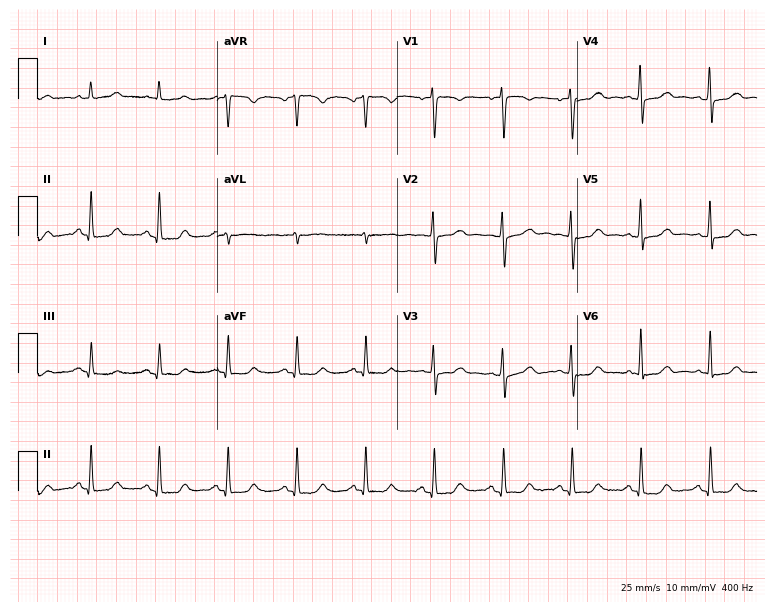
12-lead ECG from a 59-year-old female patient. Screened for six findings — first-degree AV block, right bundle branch block (RBBB), left bundle branch block (LBBB), sinus bradycardia, atrial fibrillation (AF), sinus tachycardia — none is recorded.